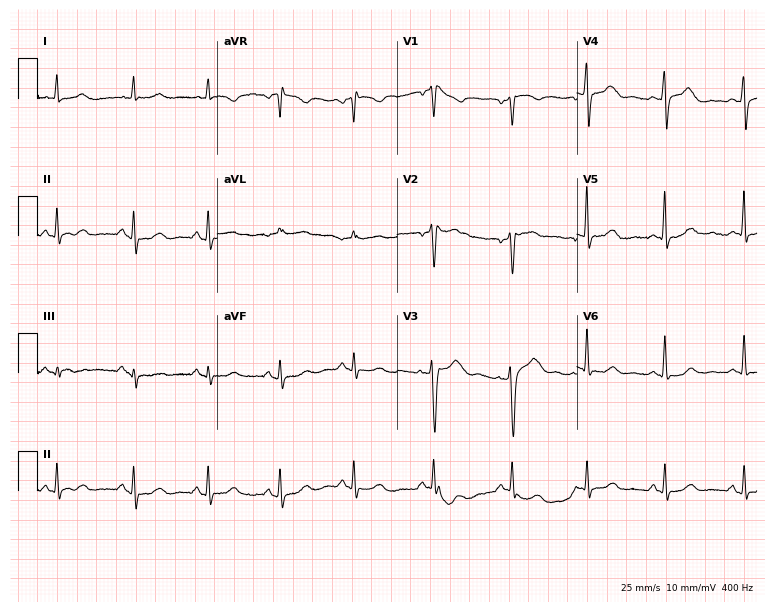
Standard 12-lead ECG recorded from a woman, 63 years old. None of these six findings is recorded: first-degree AV block, right bundle branch block, left bundle branch block, sinus bradycardia, atrial fibrillation, sinus tachycardia.